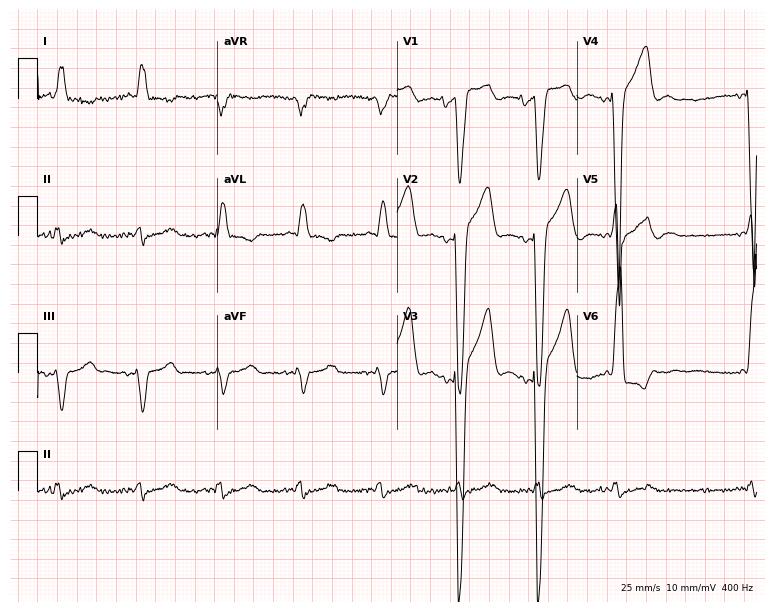
12-lead ECG from a 72-year-old woman. Screened for six findings — first-degree AV block, right bundle branch block, left bundle branch block, sinus bradycardia, atrial fibrillation, sinus tachycardia — none is recorded. Only these six findings were labelled.